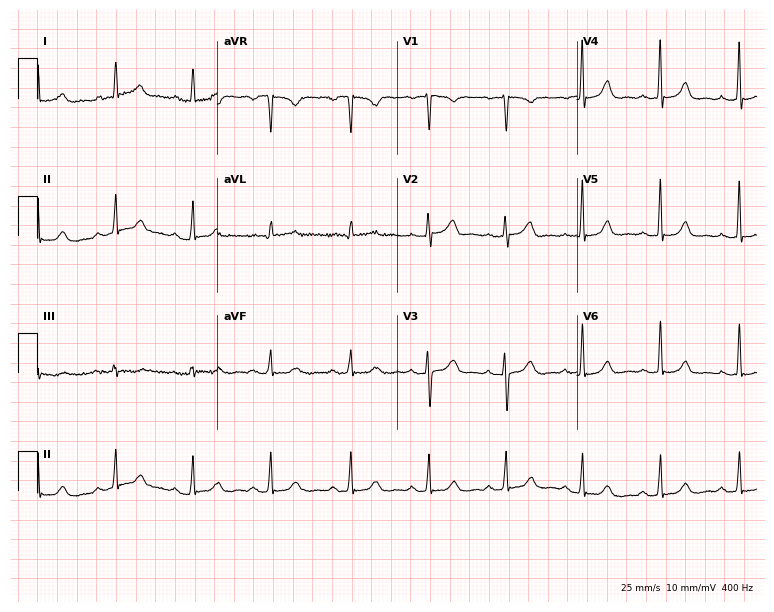
Electrocardiogram, a woman, 39 years old. Overall reading on record: normal ECG.